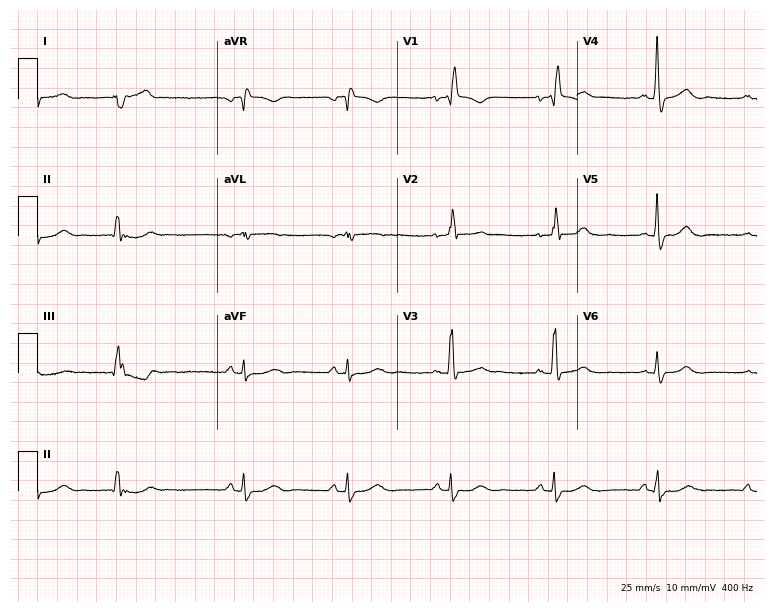
Electrocardiogram (7.3-second recording at 400 Hz), a man, 61 years old. Of the six screened findings (first-degree AV block, right bundle branch block, left bundle branch block, sinus bradycardia, atrial fibrillation, sinus tachycardia), none is recorded.